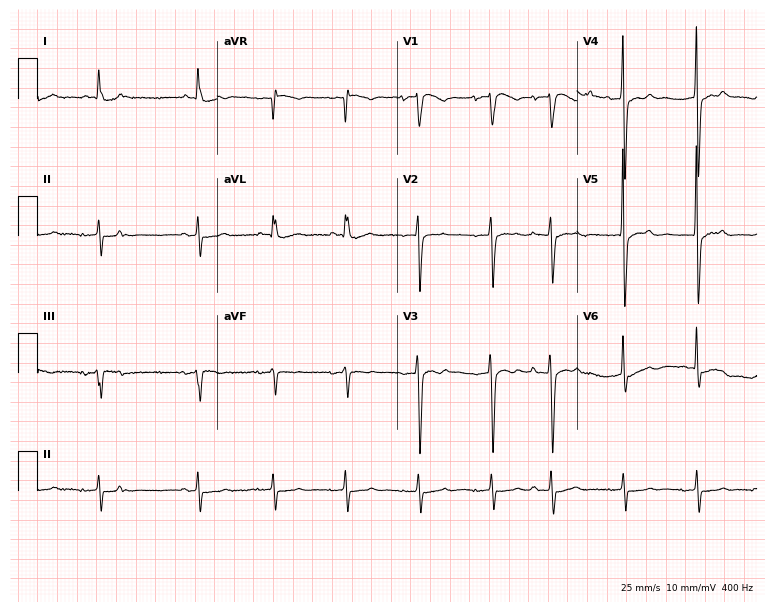
ECG — an 83-year-old female. Screened for six findings — first-degree AV block, right bundle branch block, left bundle branch block, sinus bradycardia, atrial fibrillation, sinus tachycardia — none is recorded. Only these six findings were labelled.